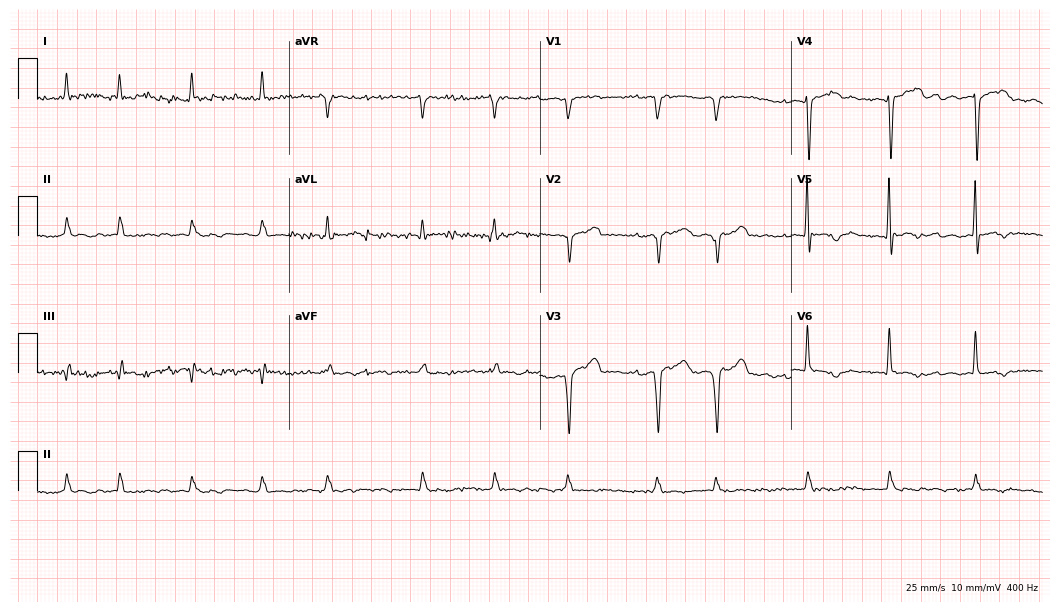
Standard 12-lead ECG recorded from a 70-year-old male patient. The tracing shows atrial fibrillation.